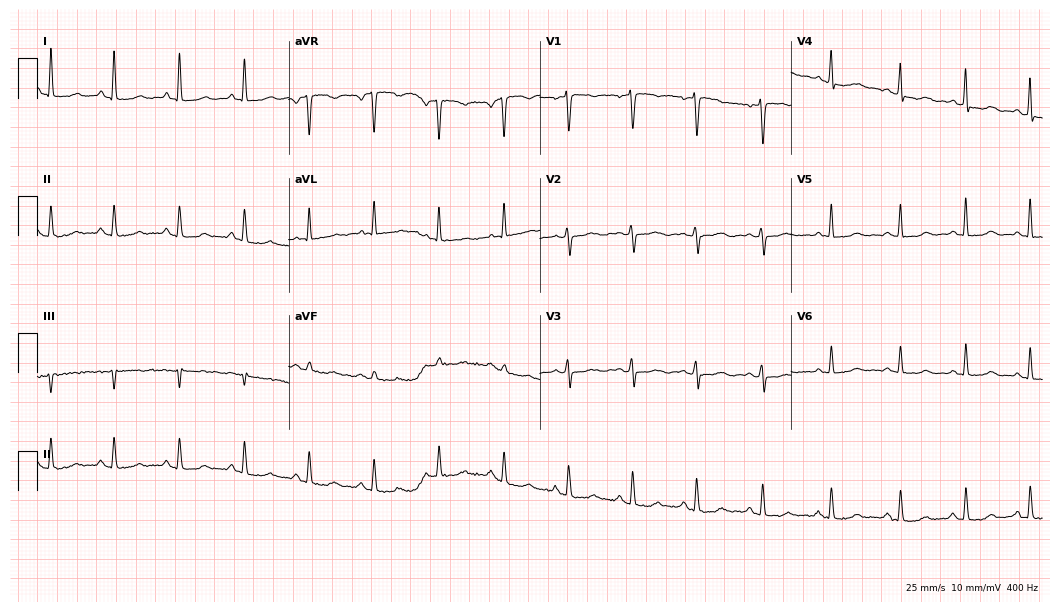
Standard 12-lead ECG recorded from a 51-year-old female patient (10.2-second recording at 400 Hz). Read as a normal ECG.